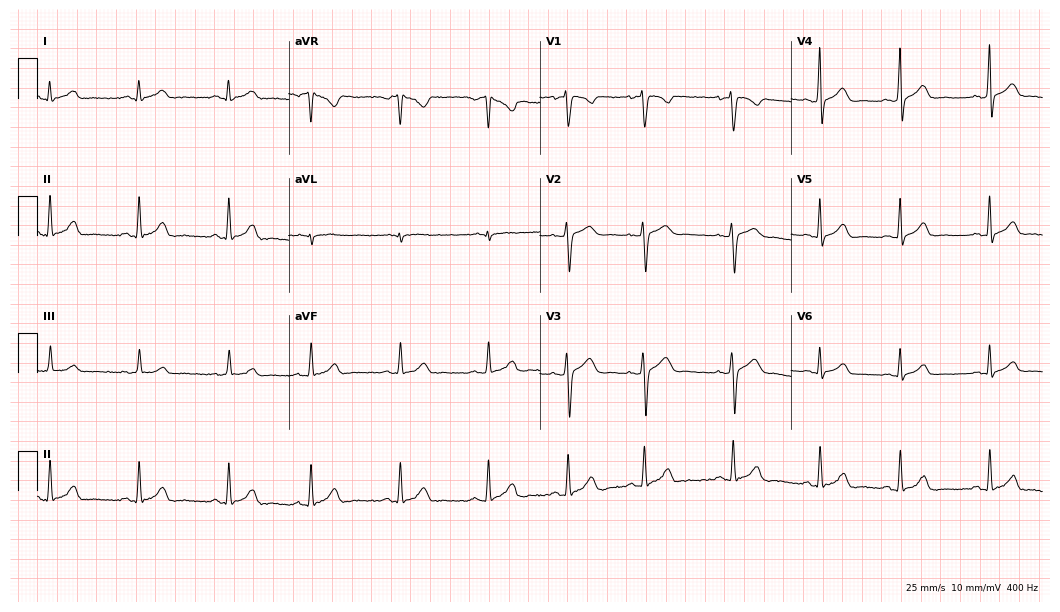
Resting 12-lead electrocardiogram (10.2-second recording at 400 Hz). Patient: an 18-year-old female. None of these six findings is recorded: first-degree AV block, right bundle branch block (RBBB), left bundle branch block (LBBB), sinus bradycardia, atrial fibrillation (AF), sinus tachycardia. Only these six findings were labelled.